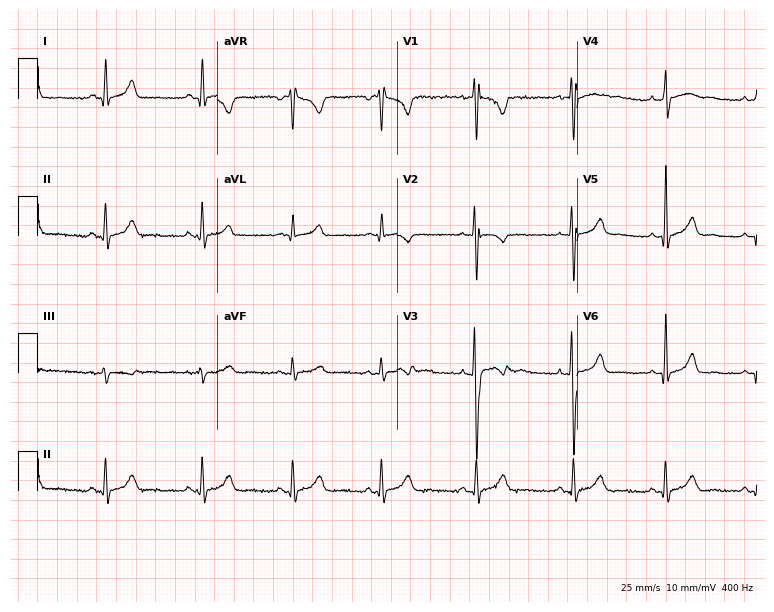
12-lead ECG (7.3-second recording at 400 Hz) from a female, 29 years old. Screened for six findings — first-degree AV block, right bundle branch block (RBBB), left bundle branch block (LBBB), sinus bradycardia, atrial fibrillation (AF), sinus tachycardia — none is recorded. Other findings, if any, are not listed.